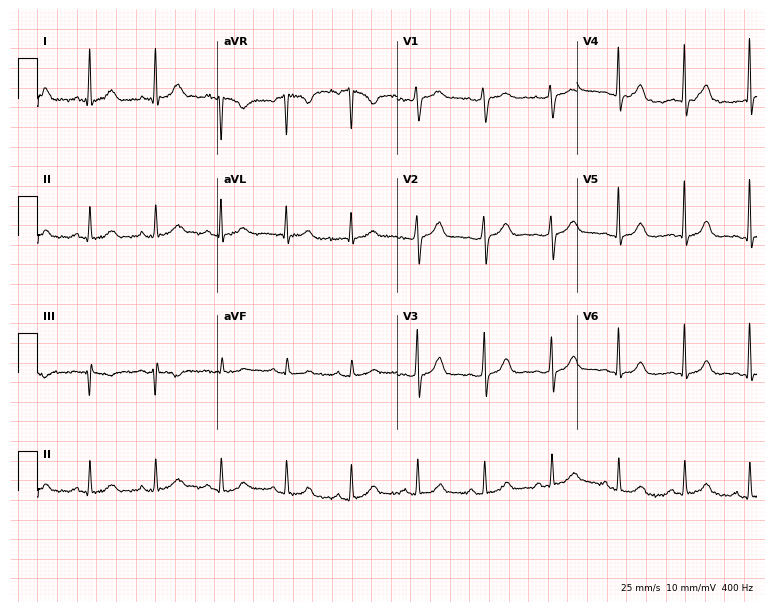
Standard 12-lead ECG recorded from a female patient, 50 years old (7.3-second recording at 400 Hz). Read as a normal ECG.